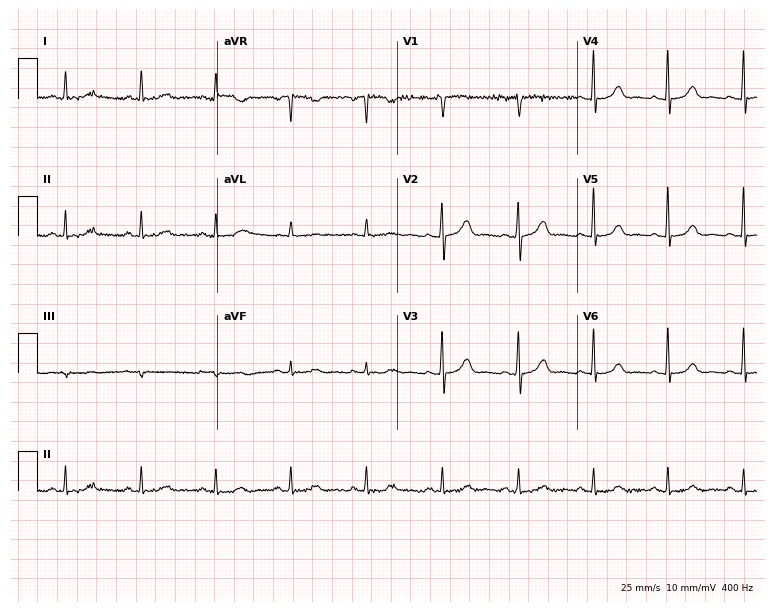
Standard 12-lead ECG recorded from a 44-year-old female patient. None of these six findings is recorded: first-degree AV block, right bundle branch block (RBBB), left bundle branch block (LBBB), sinus bradycardia, atrial fibrillation (AF), sinus tachycardia. Only these six findings were labelled.